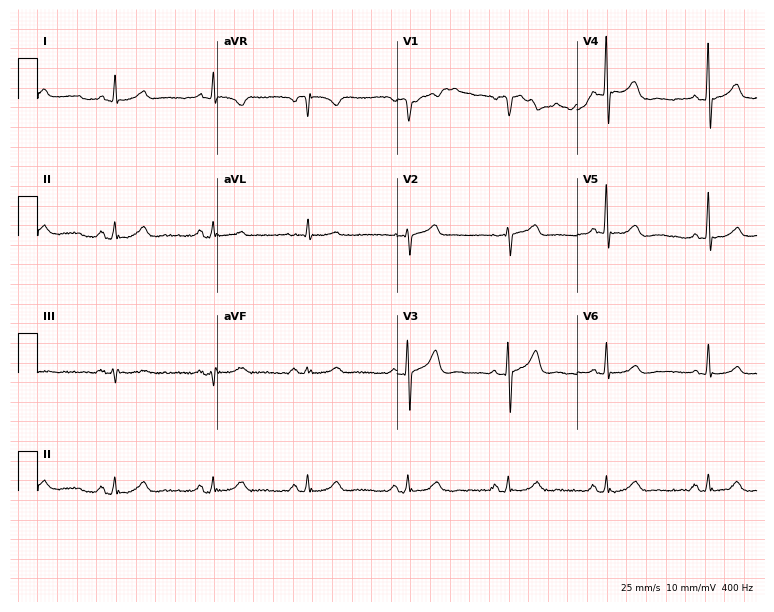
12-lead ECG from a man, 64 years old. Labelled as a normal ECG.